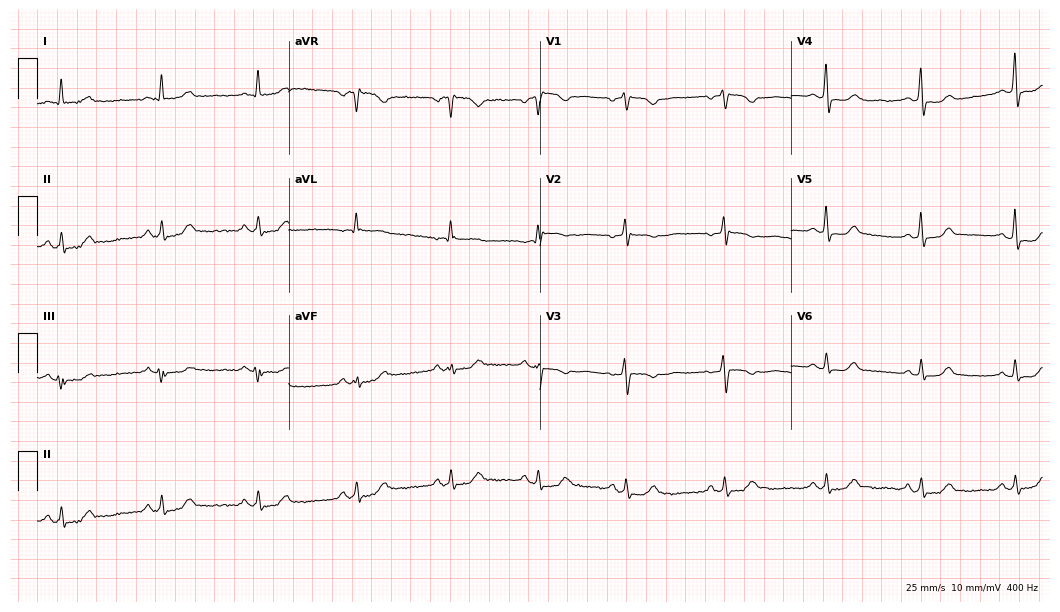
12-lead ECG (10.2-second recording at 400 Hz) from a female, 57 years old. Screened for six findings — first-degree AV block, right bundle branch block, left bundle branch block, sinus bradycardia, atrial fibrillation, sinus tachycardia — none is recorded. Findings outside these six are not listed.